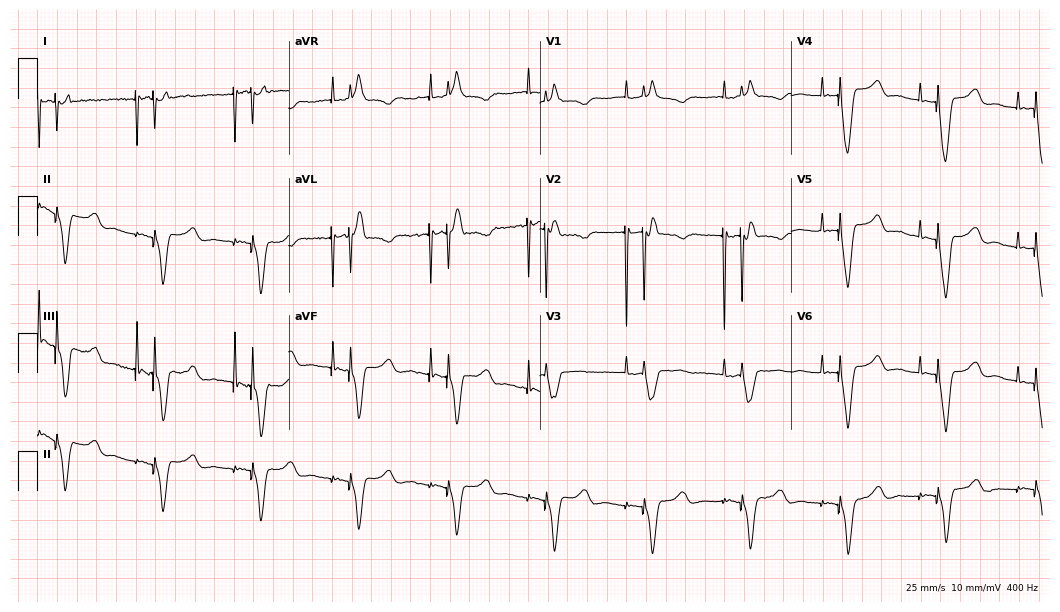
ECG — a female, 65 years old. Screened for six findings — first-degree AV block, right bundle branch block (RBBB), left bundle branch block (LBBB), sinus bradycardia, atrial fibrillation (AF), sinus tachycardia — none is recorded. Findings outside these six are not listed.